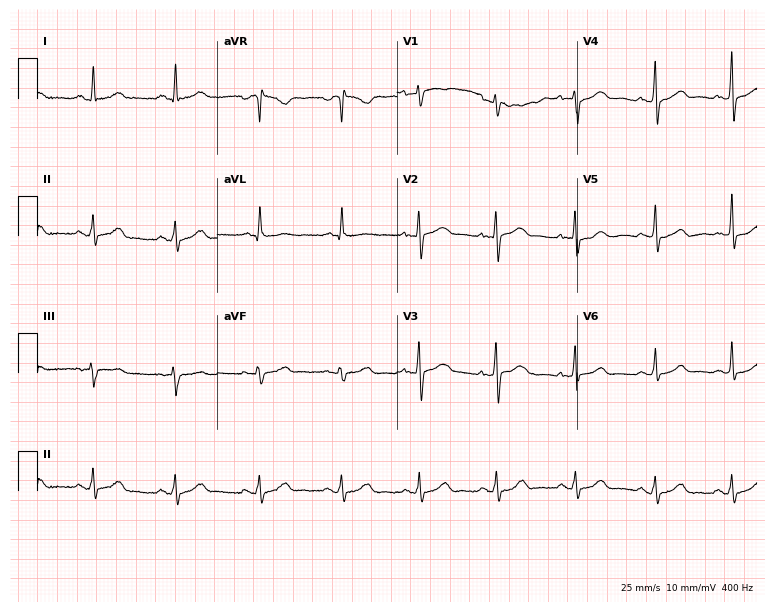
Electrocardiogram (7.3-second recording at 400 Hz), a 55-year-old female patient. Of the six screened findings (first-degree AV block, right bundle branch block, left bundle branch block, sinus bradycardia, atrial fibrillation, sinus tachycardia), none is recorded.